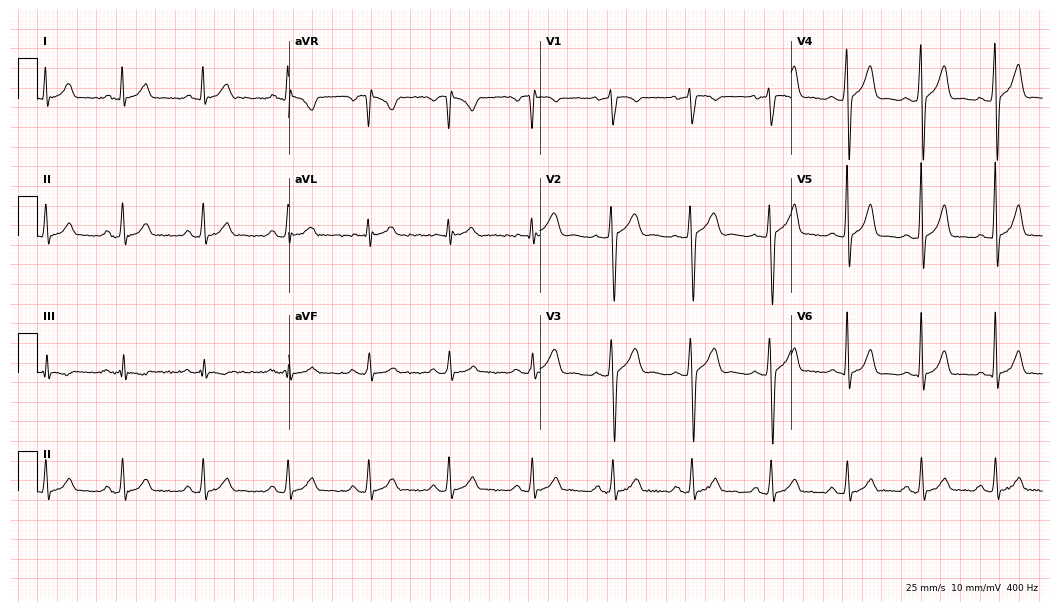
12-lead ECG (10.2-second recording at 400 Hz) from a 33-year-old male. Labelled as a normal ECG.